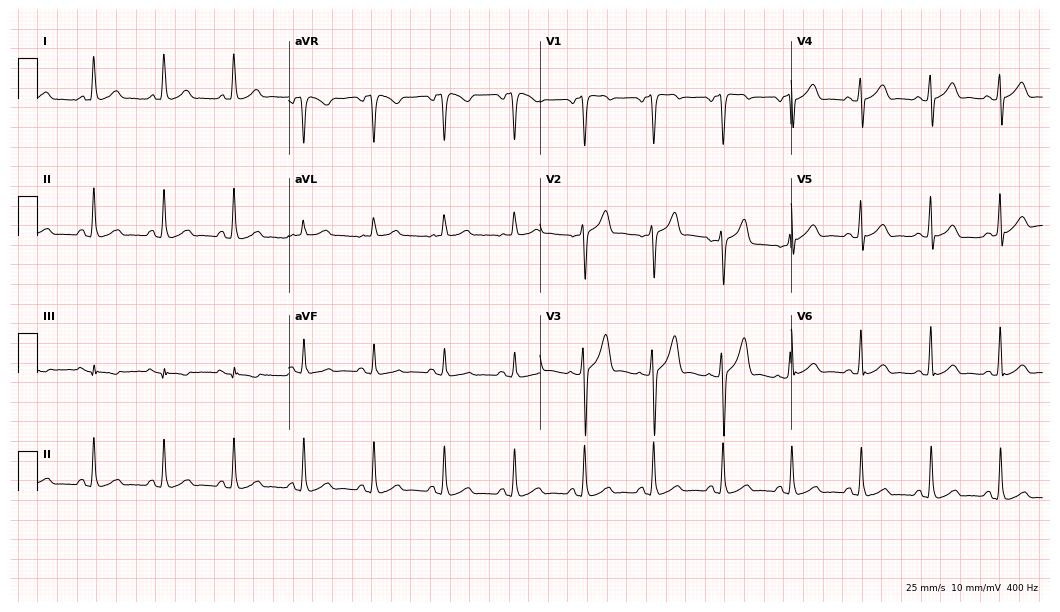
12-lead ECG (10.2-second recording at 400 Hz) from a male, 61 years old. Labelled as a normal ECG.